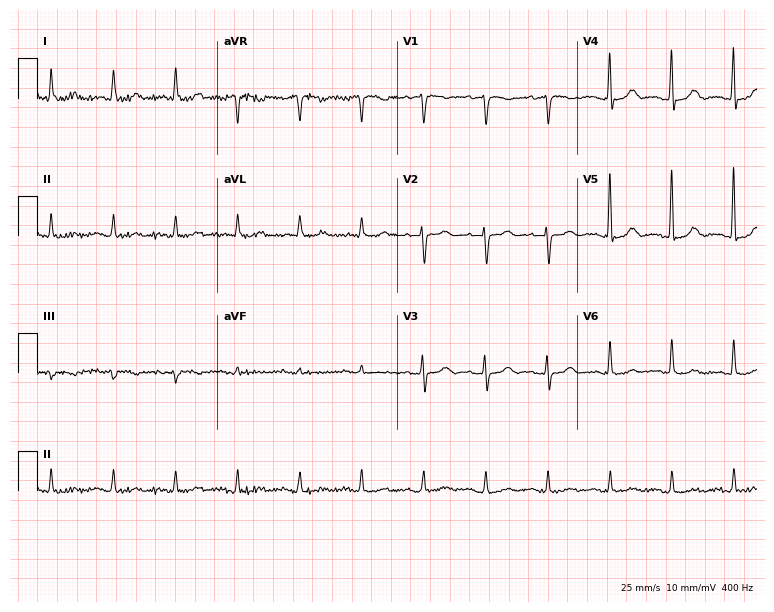
Electrocardiogram, an 84-year-old female patient. Of the six screened findings (first-degree AV block, right bundle branch block, left bundle branch block, sinus bradycardia, atrial fibrillation, sinus tachycardia), none is recorded. Findings outside these six are not listed.